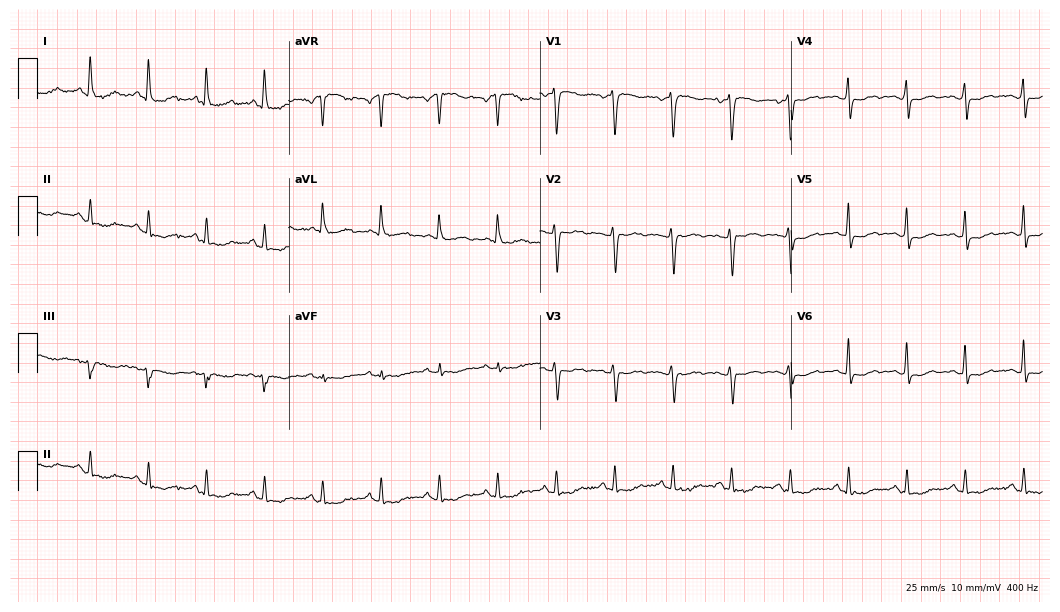
12-lead ECG from a 54-year-old woman (10.2-second recording at 400 Hz). No first-degree AV block, right bundle branch block, left bundle branch block, sinus bradycardia, atrial fibrillation or sinus tachycardia recorded for this tracing.